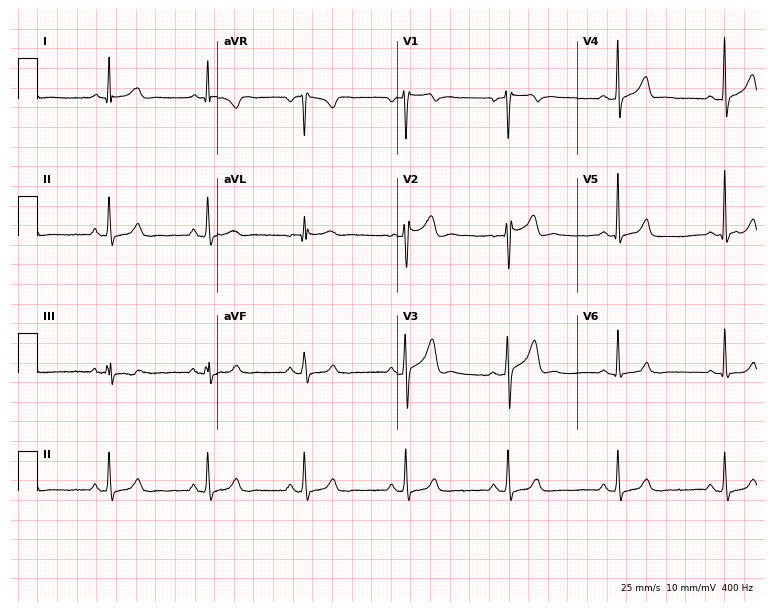
Electrocardiogram, a man, 24 years old. Overall reading on record: normal ECG.